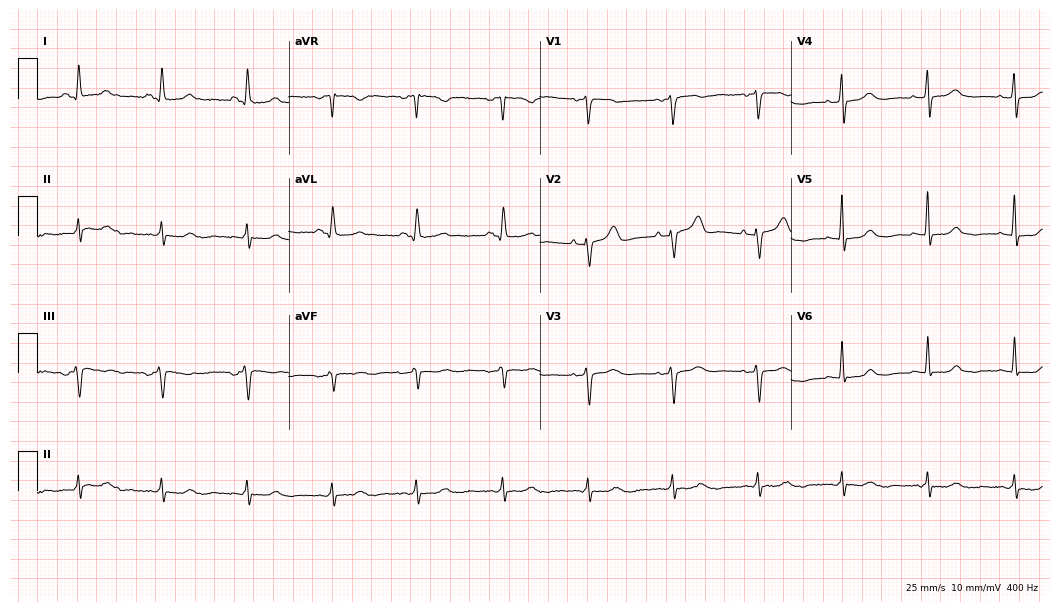
12-lead ECG from a 51-year-old female. Recorded interpretation: within normal limits.